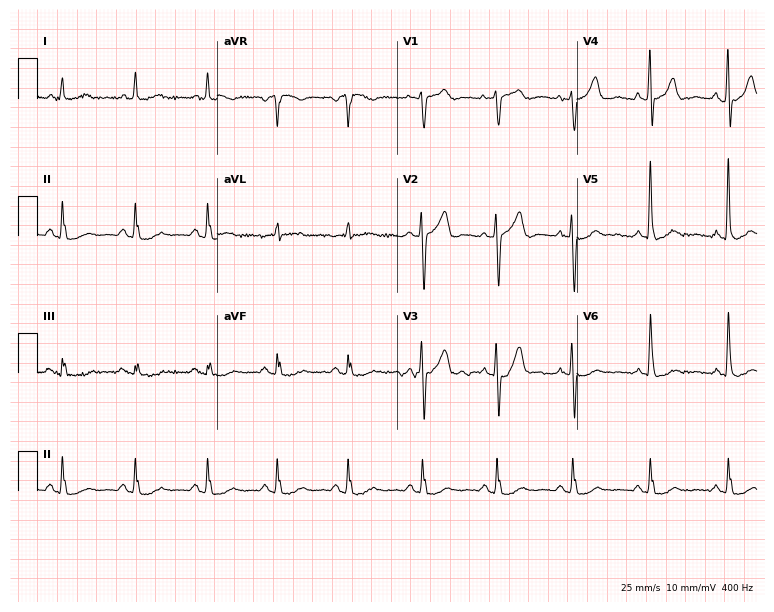
Electrocardiogram (7.3-second recording at 400 Hz), a 64-year-old male patient. Overall reading on record: normal ECG.